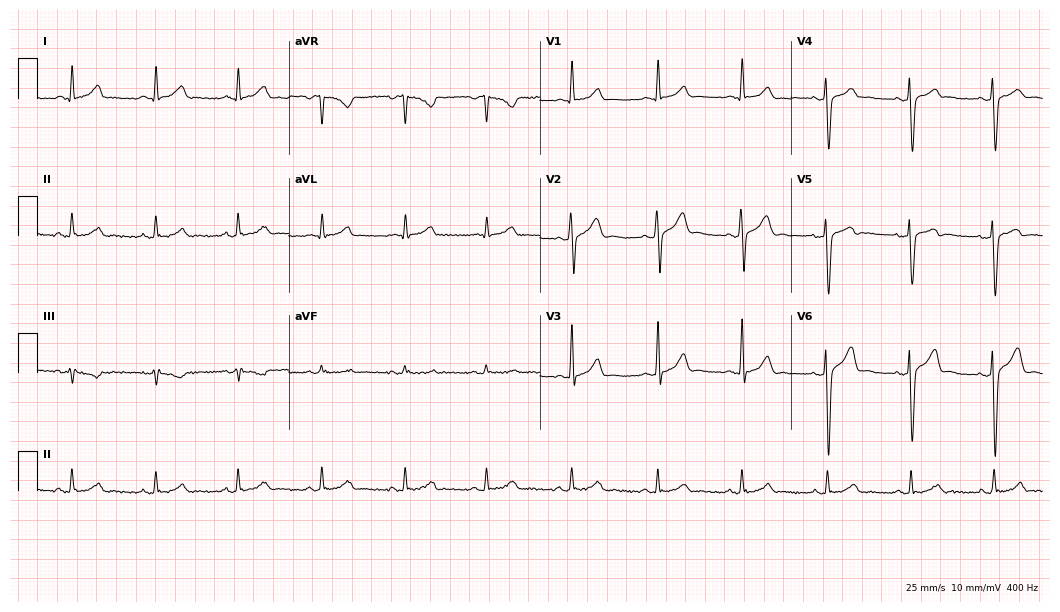
Resting 12-lead electrocardiogram. Patient: a 35-year-old man. Read as a normal ECG.